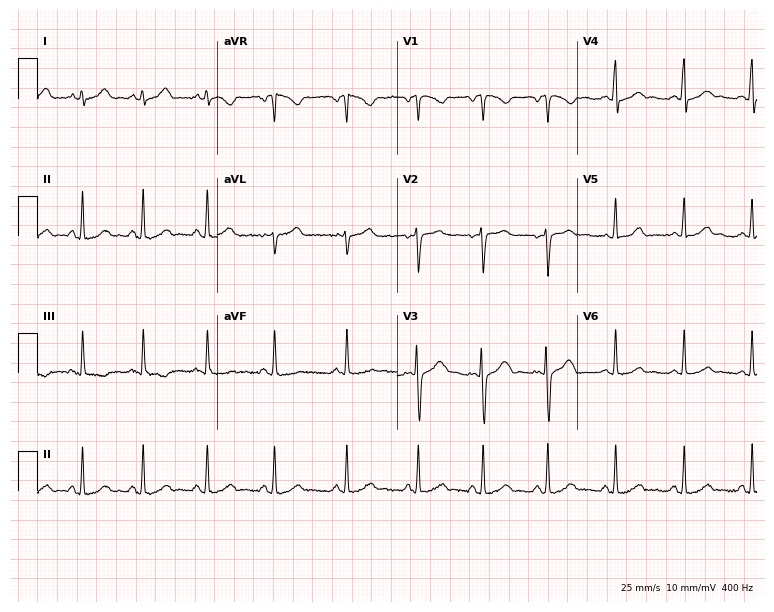
12-lead ECG from a female patient, 20 years old. Screened for six findings — first-degree AV block, right bundle branch block, left bundle branch block, sinus bradycardia, atrial fibrillation, sinus tachycardia — none is recorded. Other findings, if any, are not listed.